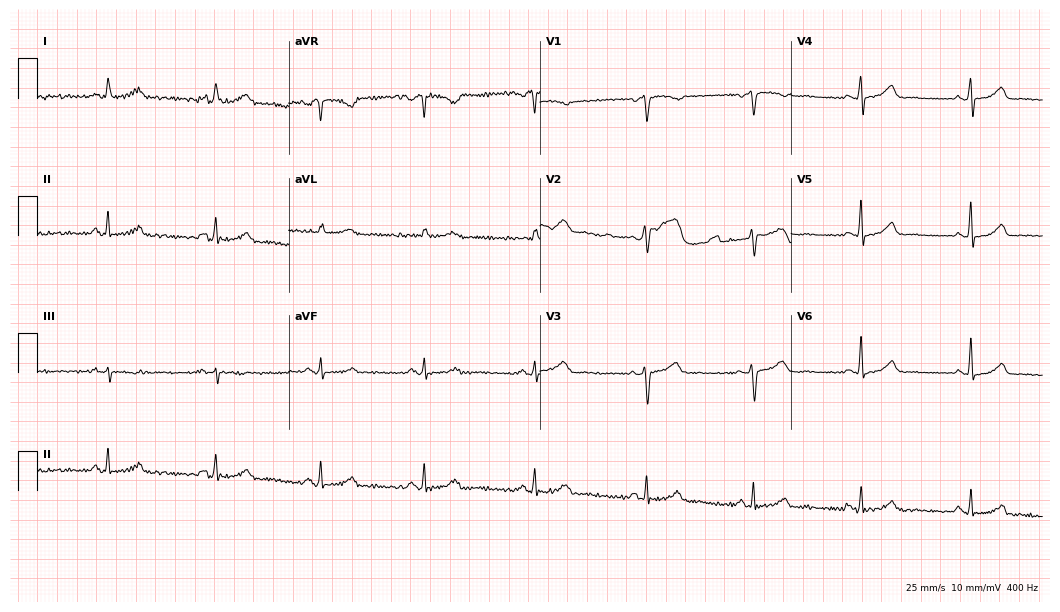
ECG — a woman, 57 years old. Screened for six findings — first-degree AV block, right bundle branch block (RBBB), left bundle branch block (LBBB), sinus bradycardia, atrial fibrillation (AF), sinus tachycardia — none is recorded. Only these six findings were labelled.